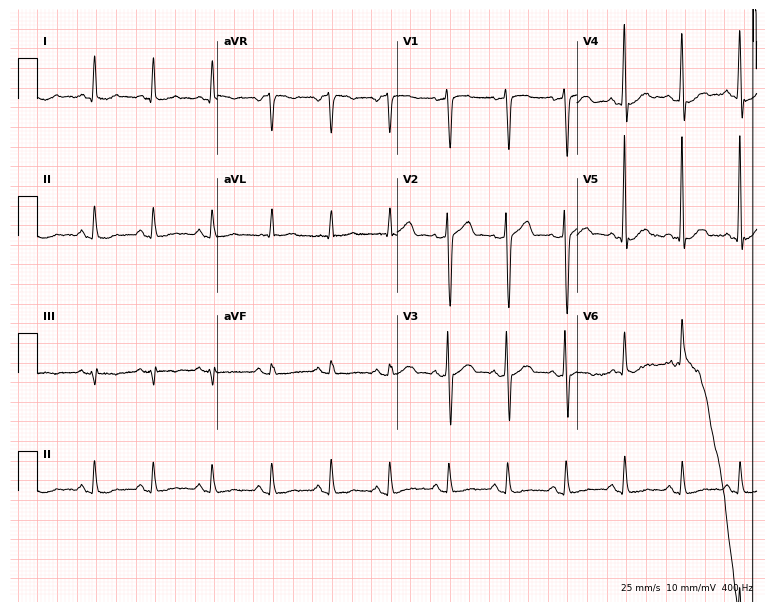
ECG (7.3-second recording at 400 Hz) — a man, 48 years old. Screened for six findings — first-degree AV block, right bundle branch block (RBBB), left bundle branch block (LBBB), sinus bradycardia, atrial fibrillation (AF), sinus tachycardia — none is recorded. Findings outside these six are not listed.